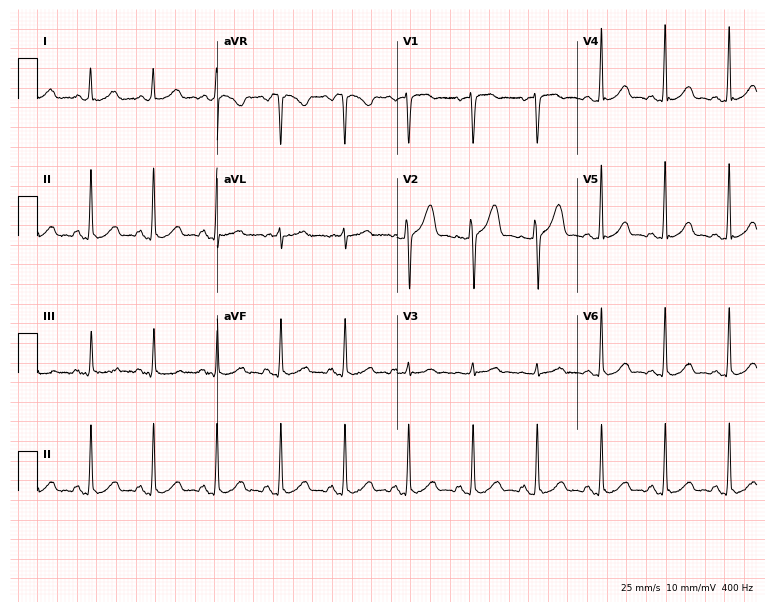
Electrocardiogram, a female, 40 years old. Of the six screened findings (first-degree AV block, right bundle branch block (RBBB), left bundle branch block (LBBB), sinus bradycardia, atrial fibrillation (AF), sinus tachycardia), none is recorded.